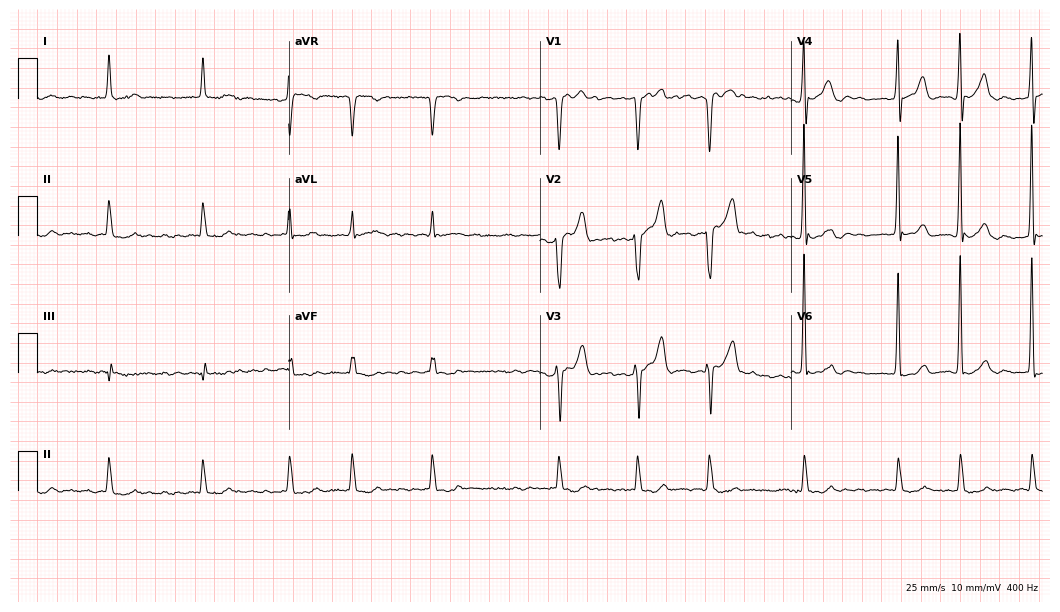
Standard 12-lead ECG recorded from a 72-year-old man (10.2-second recording at 400 Hz). The tracing shows atrial fibrillation.